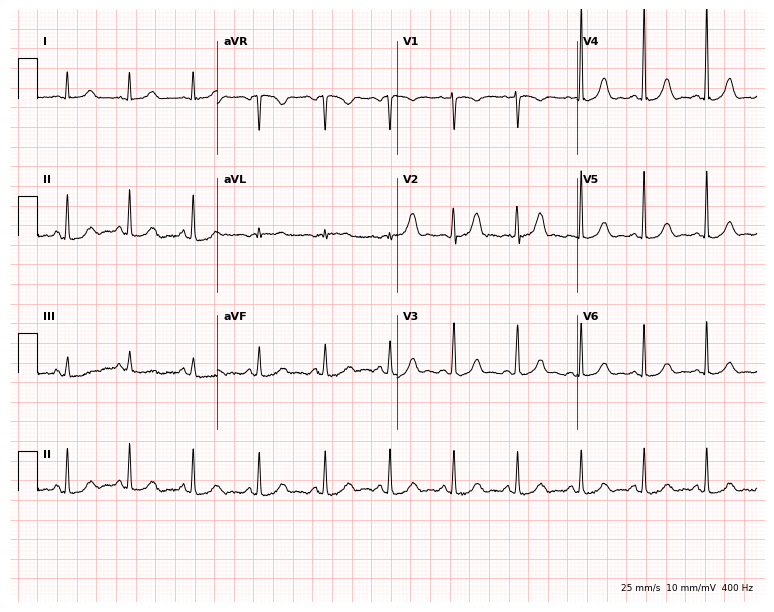
Resting 12-lead electrocardiogram (7.3-second recording at 400 Hz). Patient: a 45-year-old female. None of these six findings is recorded: first-degree AV block, right bundle branch block, left bundle branch block, sinus bradycardia, atrial fibrillation, sinus tachycardia.